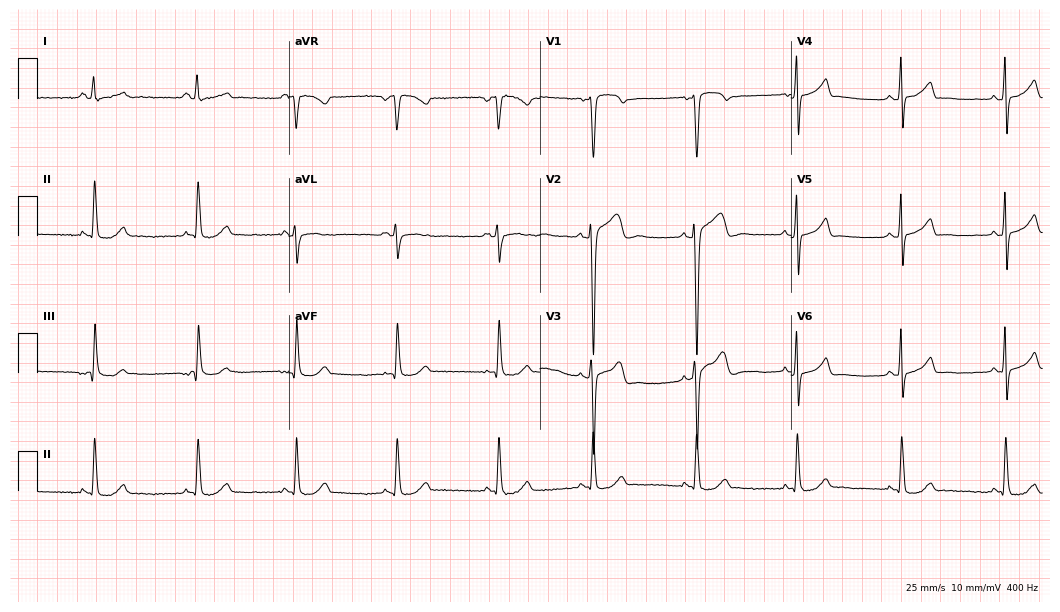
Electrocardiogram (10.2-second recording at 400 Hz), a male, 21 years old. Overall reading on record: normal ECG.